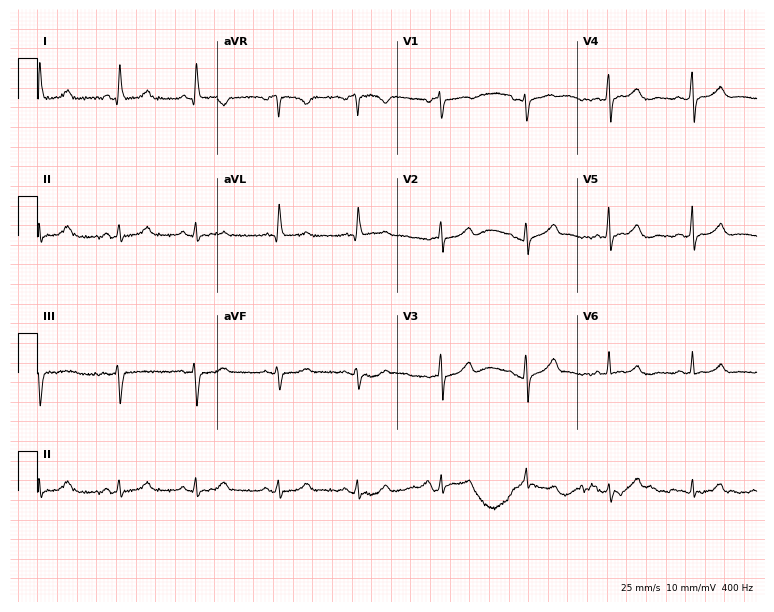
Standard 12-lead ECG recorded from a female, 39 years old (7.3-second recording at 400 Hz). Read as a normal ECG.